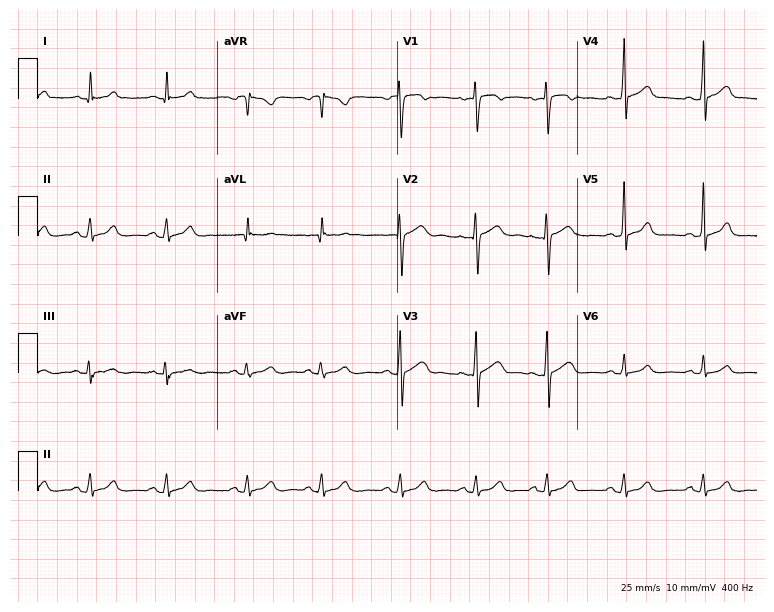
Electrocardiogram, a 19-year-old female patient. Overall reading on record: normal ECG.